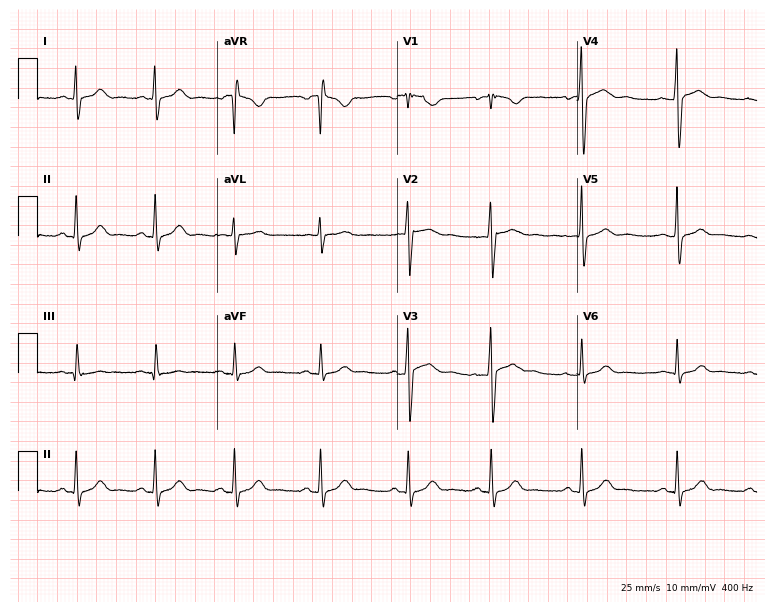
12-lead ECG from a 30-year-old female. Labelled as a normal ECG.